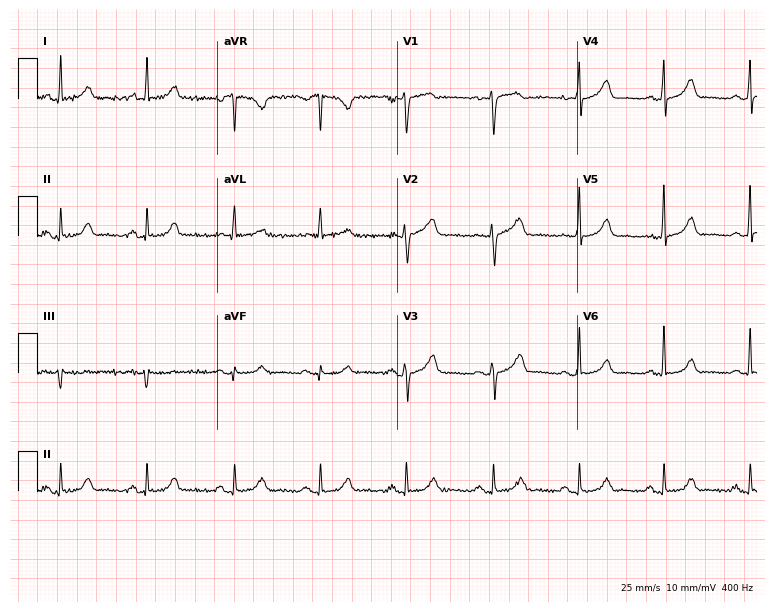
ECG — a 51-year-old woman. Labelled as a normal ECG.